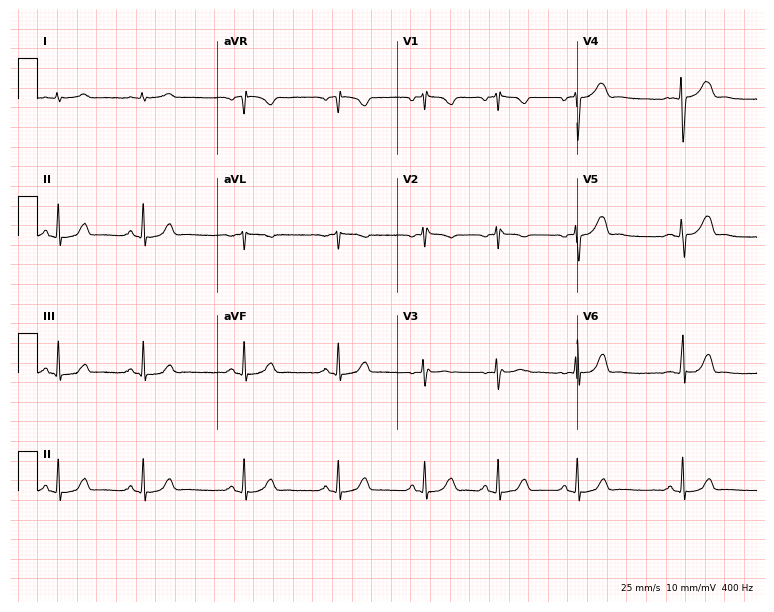
Resting 12-lead electrocardiogram (7.3-second recording at 400 Hz). Patient: a female, 21 years old. None of these six findings is recorded: first-degree AV block, right bundle branch block, left bundle branch block, sinus bradycardia, atrial fibrillation, sinus tachycardia. Findings outside these six are not listed.